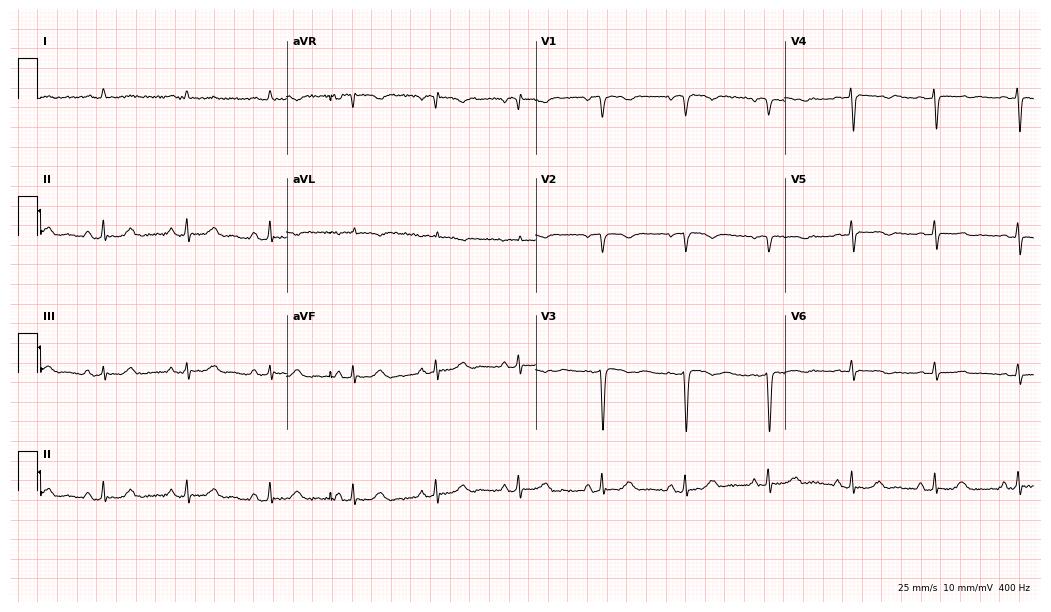
12-lead ECG from a 70-year-old man. No first-degree AV block, right bundle branch block, left bundle branch block, sinus bradycardia, atrial fibrillation or sinus tachycardia recorded for this tracing.